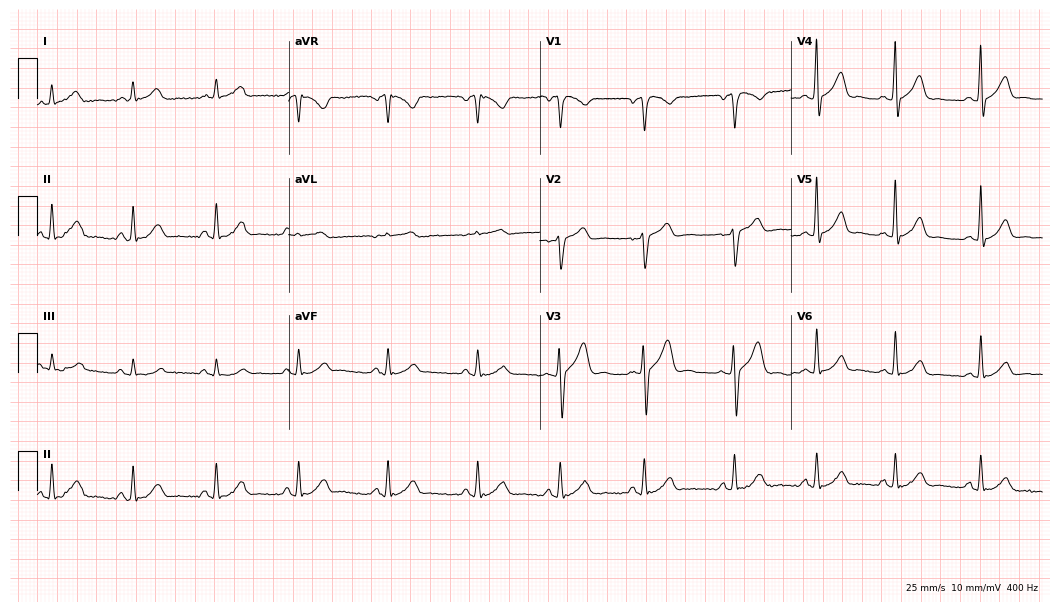
Standard 12-lead ECG recorded from a 45-year-old male patient. None of these six findings is recorded: first-degree AV block, right bundle branch block (RBBB), left bundle branch block (LBBB), sinus bradycardia, atrial fibrillation (AF), sinus tachycardia. Findings outside these six are not listed.